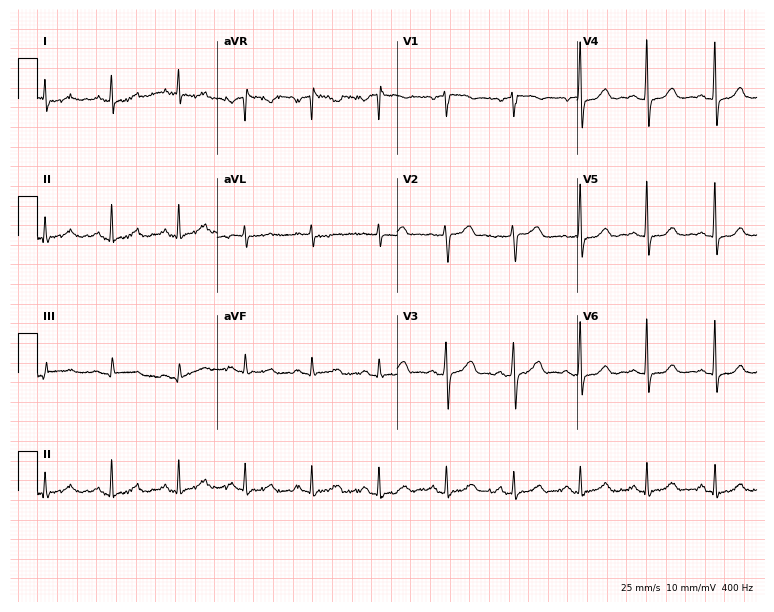
ECG (7.3-second recording at 400 Hz) — a 56-year-old female. Labelled as a normal ECG.